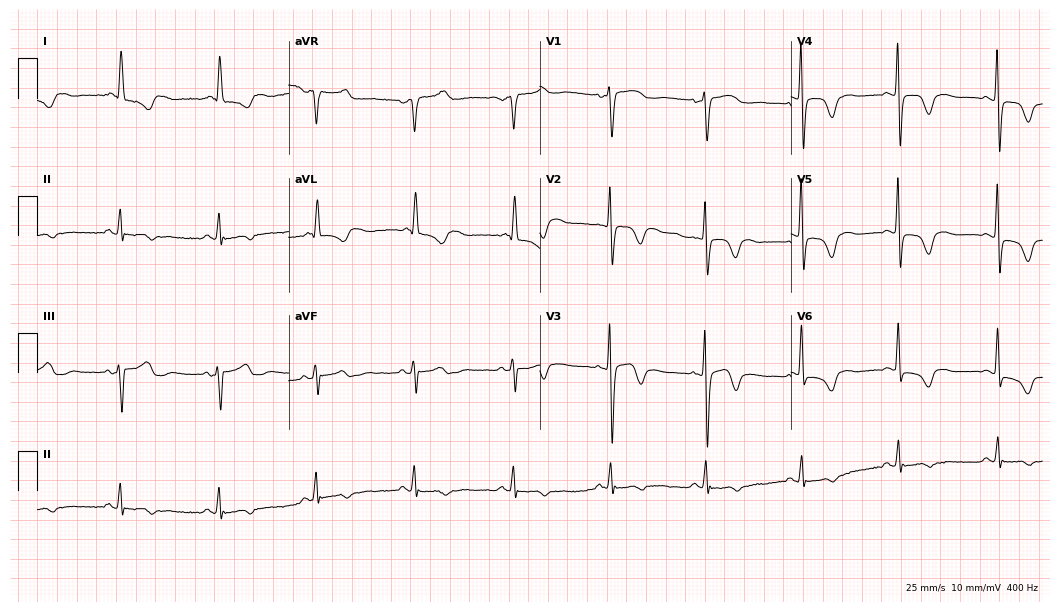
Resting 12-lead electrocardiogram (10.2-second recording at 400 Hz). Patient: a 74-year-old female. None of these six findings is recorded: first-degree AV block, right bundle branch block, left bundle branch block, sinus bradycardia, atrial fibrillation, sinus tachycardia.